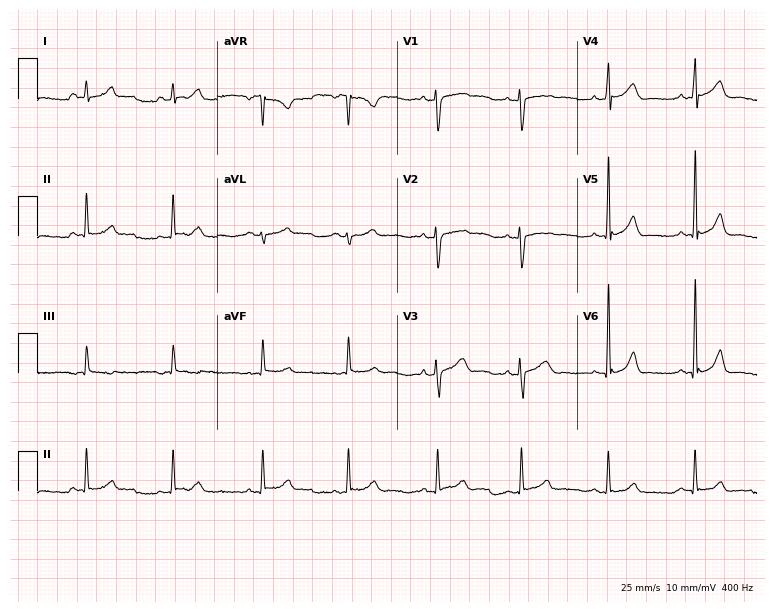
12-lead ECG from a 22-year-old female patient. Screened for six findings — first-degree AV block, right bundle branch block, left bundle branch block, sinus bradycardia, atrial fibrillation, sinus tachycardia — none is recorded. Findings outside these six are not listed.